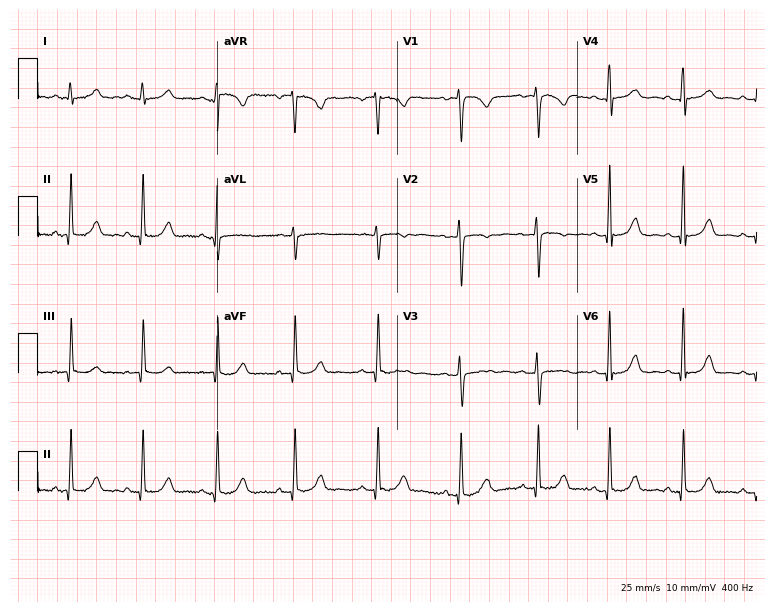
Electrocardiogram, a female, 28 years old. Overall reading on record: normal ECG.